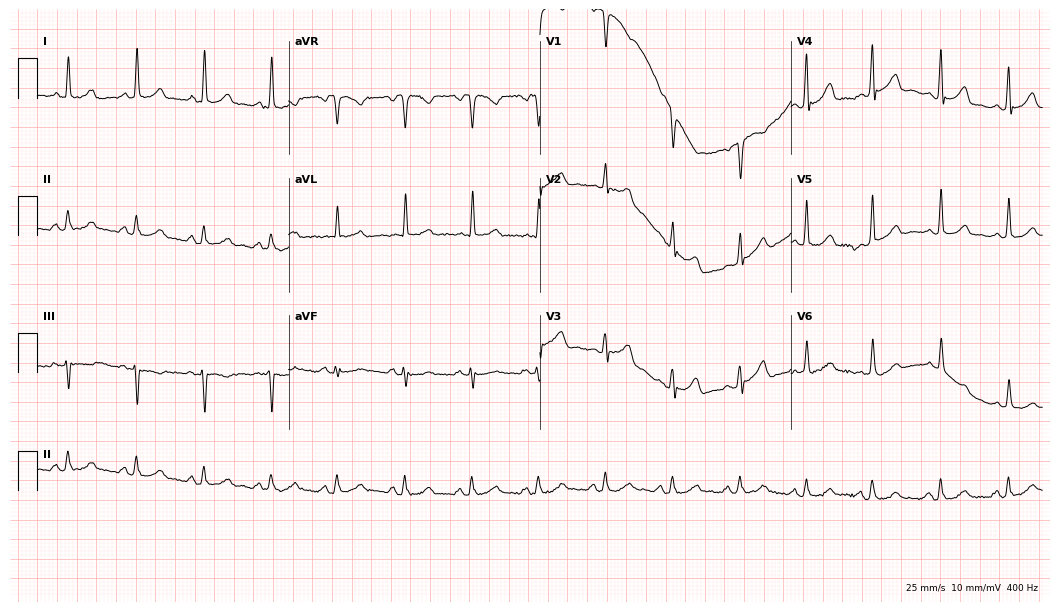
12-lead ECG from a woman, 46 years old. Recorded interpretation: within normal limits.